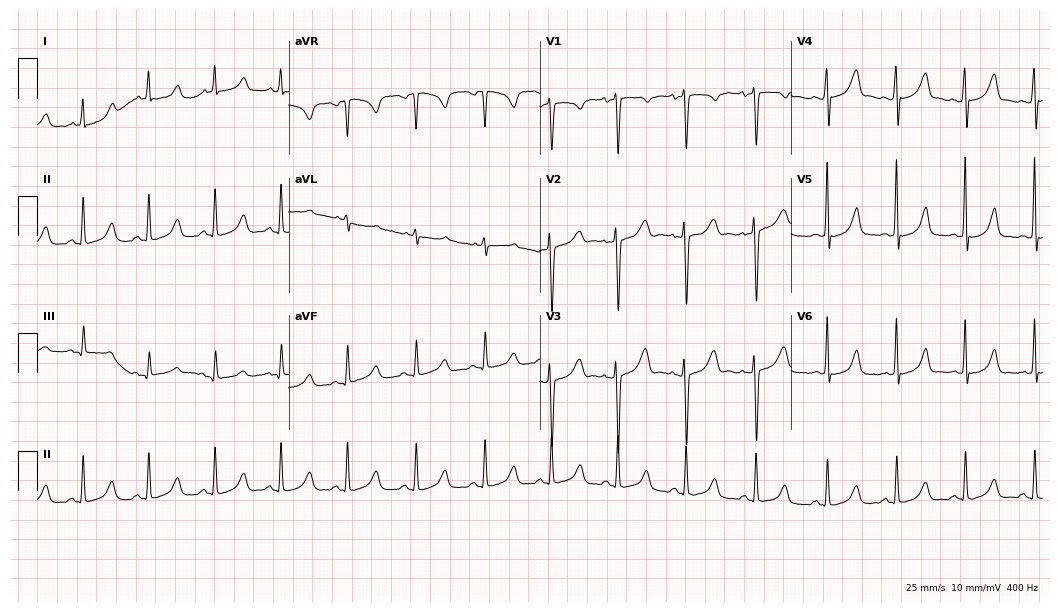
ECG — an 18-year-old woman. Labelled as a normal ECG.